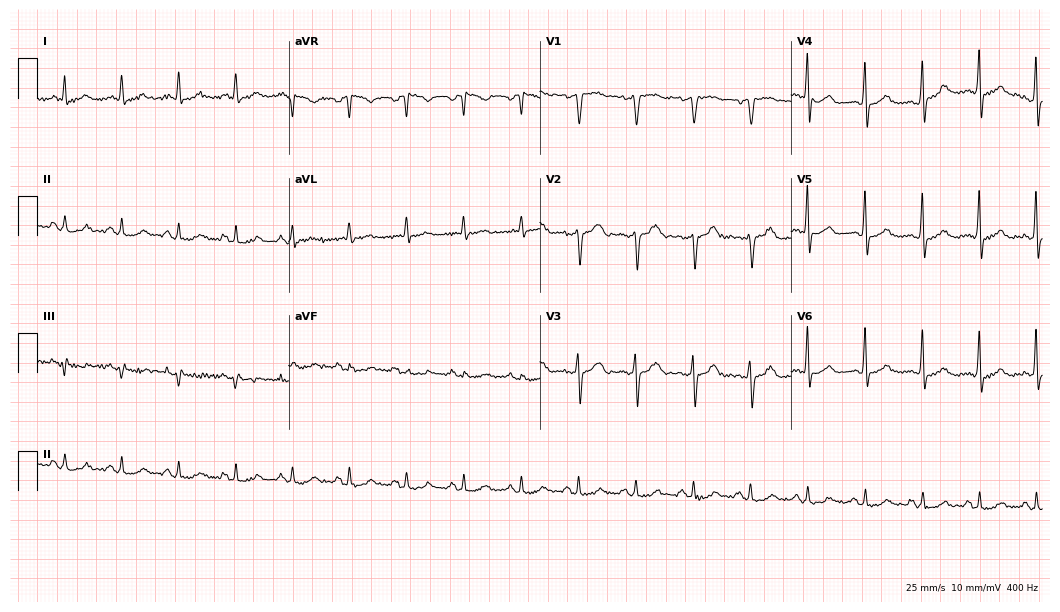
Standard 12-lead ECG recorded from a 53-year-old male (10.2-second recording at 400 Hz). Read as a normal ECG.